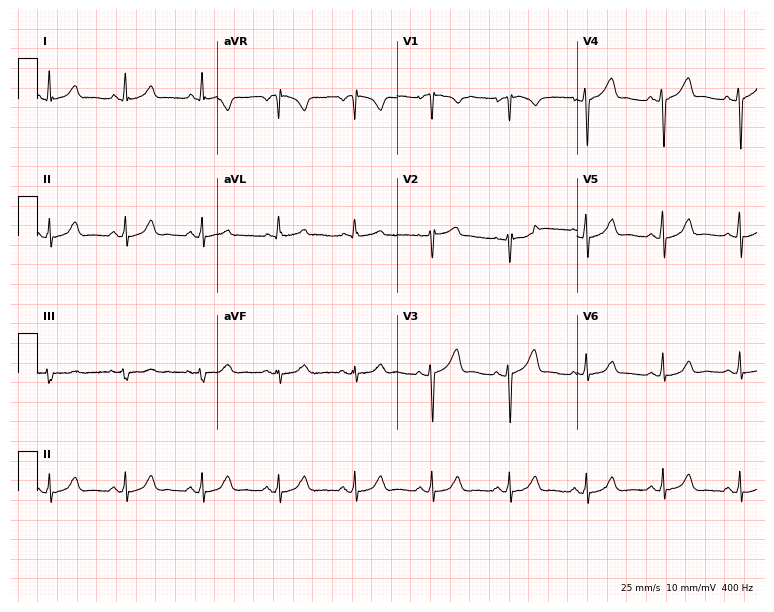
12-lead ECG from a man, 56 years old. Screened for six findings — first-degree AV block, right bundle branch block, left bundle branch block, sinus bradycardia, atrial fibrillation, sinus tachycardia — none is recorded. Findings outside these six are not listed.